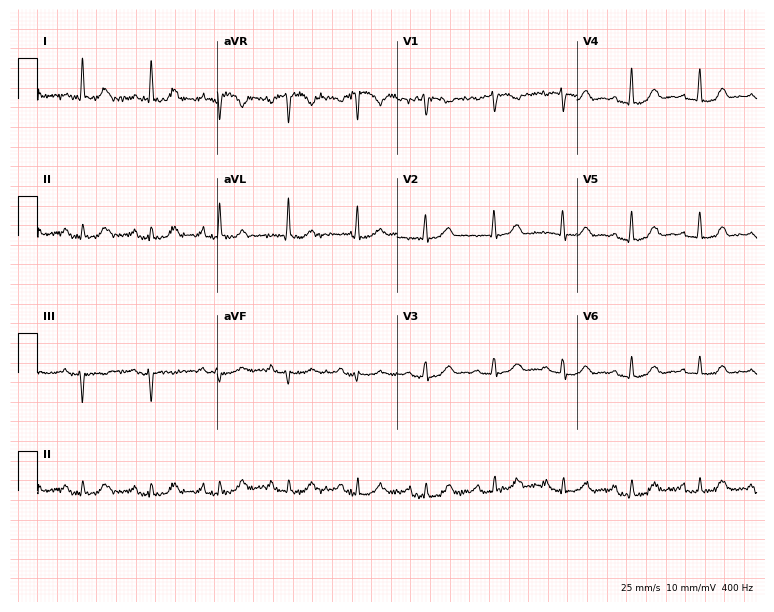
Resting 12-lead electrocardiogram (7.3-second recording at 400 Hz). Patient: a 70-year-old female. None of these six findings is recorded: first-degree AV block, right bundle branch block, left bundle branch block, sinus bradycardia, atrial fibrillation, sinus tachycardia.